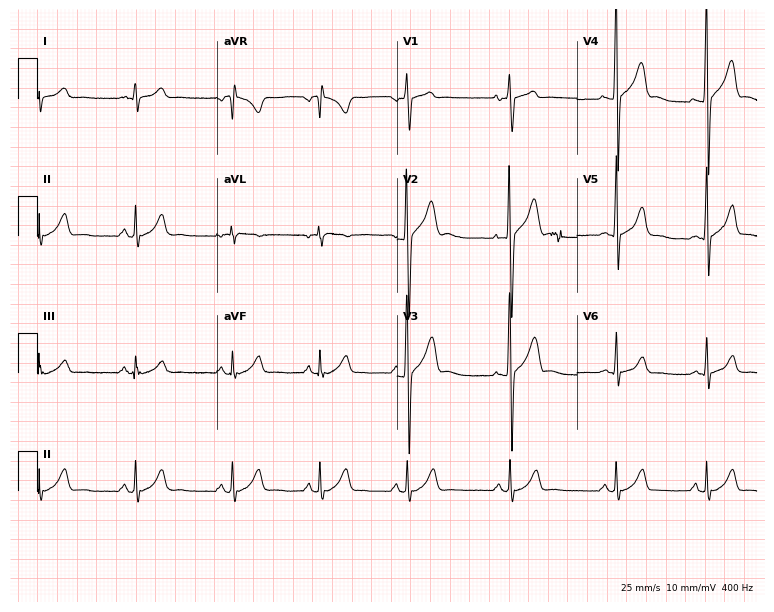
12-lead ECG from a male patient, 18 years old (7.3-second recording at 400 Hz). No first-degree AV block, right bundle branch block (RBBB), left bundle branch block (LBBB), sinus bradycardia, atrial fibrillation (AF) or sinus tachycardia recorded for this tracing.